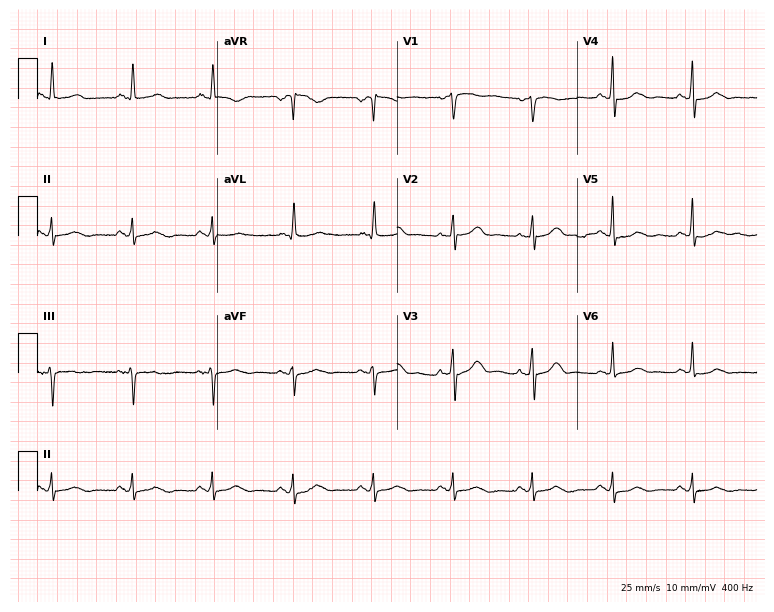
12-lead ECG (7.3-second recording at 400 Hz) from a woman, 69 years old. Labelled as a normal ECG.